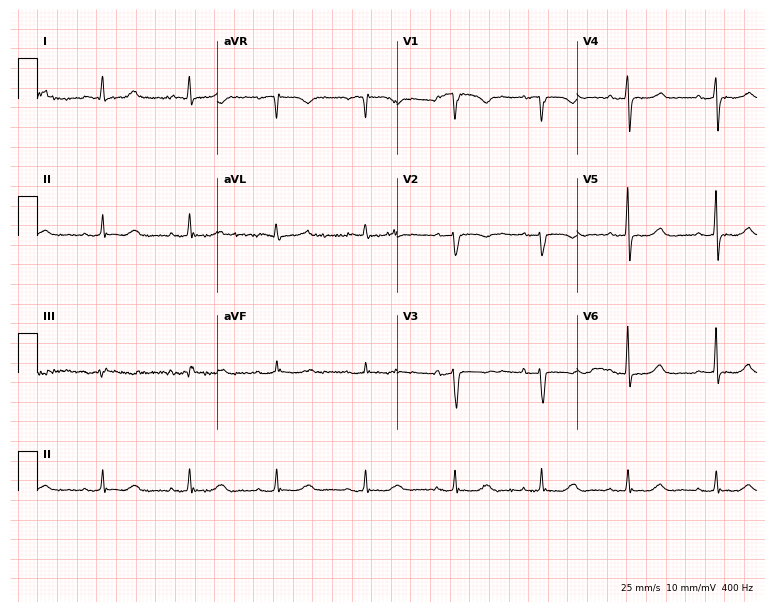
ECG (7.3-second recording at 400 Hz) — a female, 71 years old. Screened for six findings — first-degree AV block, right bundle branch block (RBBB), left bundle branch block (LBBB), sinus bradycardia, atrial fibrillation (AF), sinus tachycardia — none is recorded. Findings outside these six are not listed.